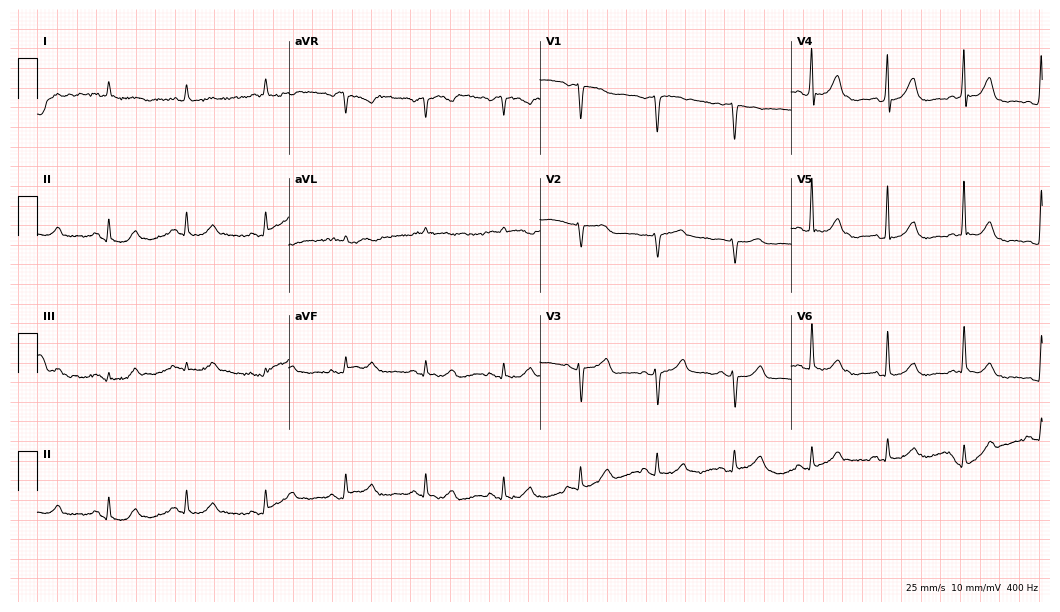
12-lead ECG from a 70-year-old female (10.2-second recording at 400 Hz). No first-degree AV block, right bundle branch block, left bundle branch block, sinus bradycardia, atrial fibrillation or sinus tachycardia recorded for this tracing. Findings outside these six are not listed.